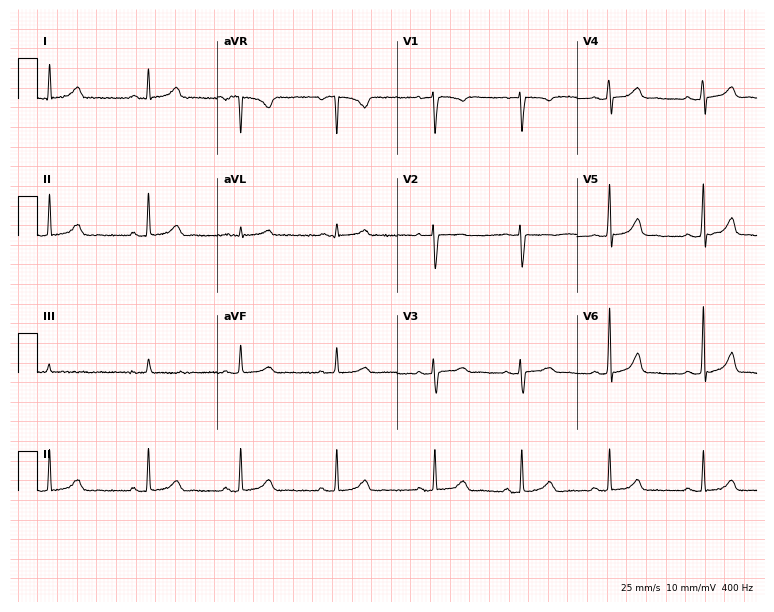
ECG — a woman, 40 years old. Labelled as a normal ECG.